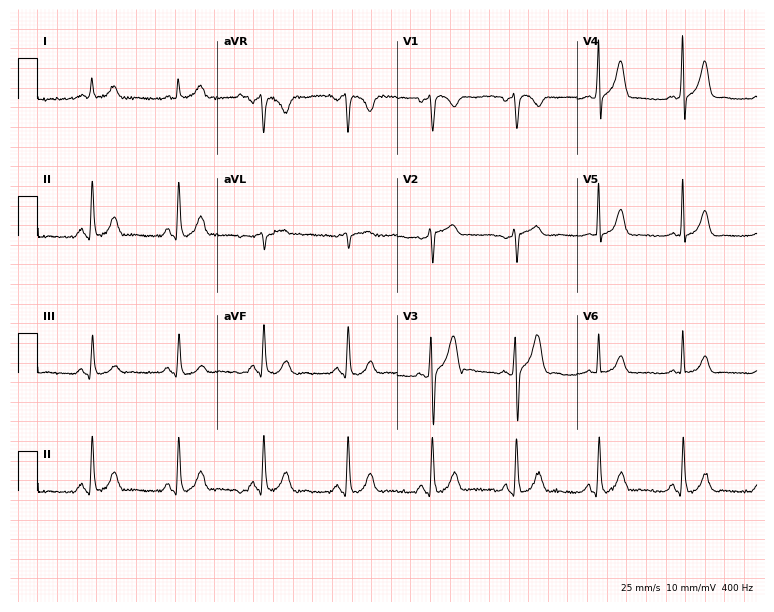
Resting 12-lead electrocardiogram. Patient: a 68-year-old male. Read as a normal ECG.